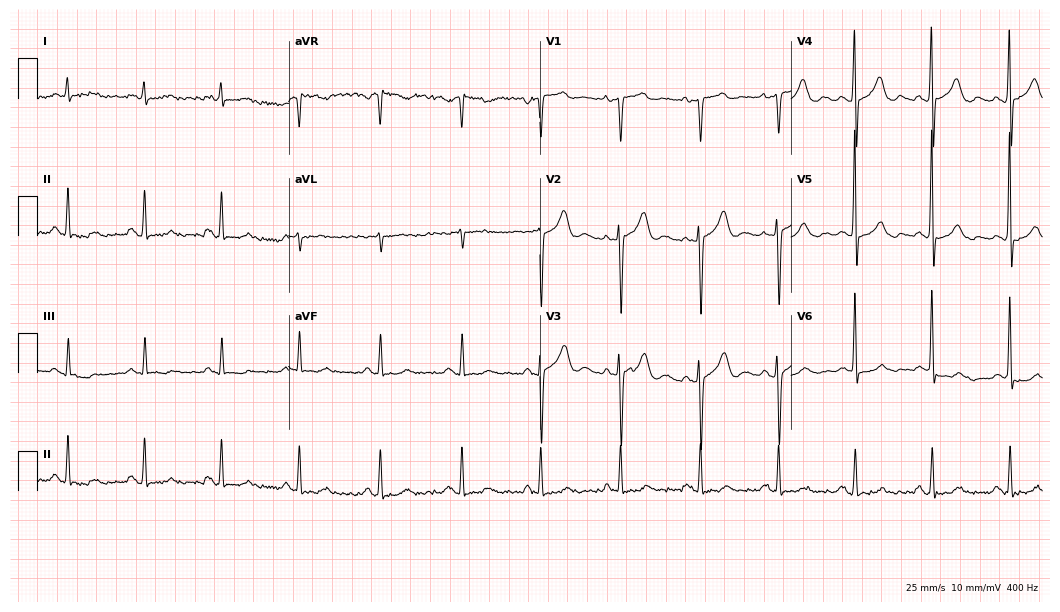
12-lead ECG from a 49-year-old male patient. Recorded interpretation: within normal limits.